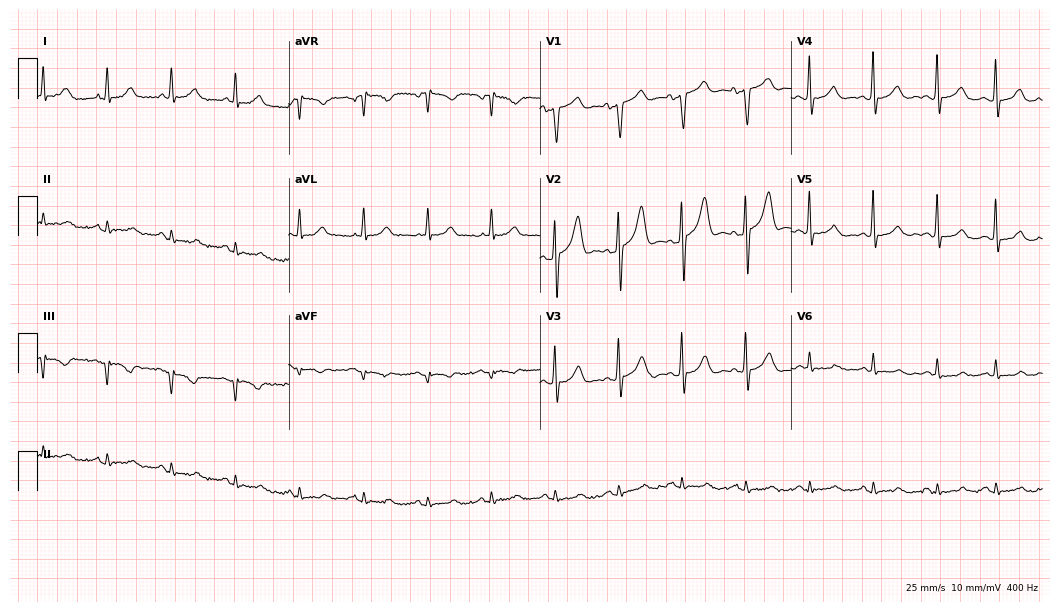
12-lead ECG (10.2-second recording at 400 Hz) from a man, 67 years old. Labelled as a normal ECG.